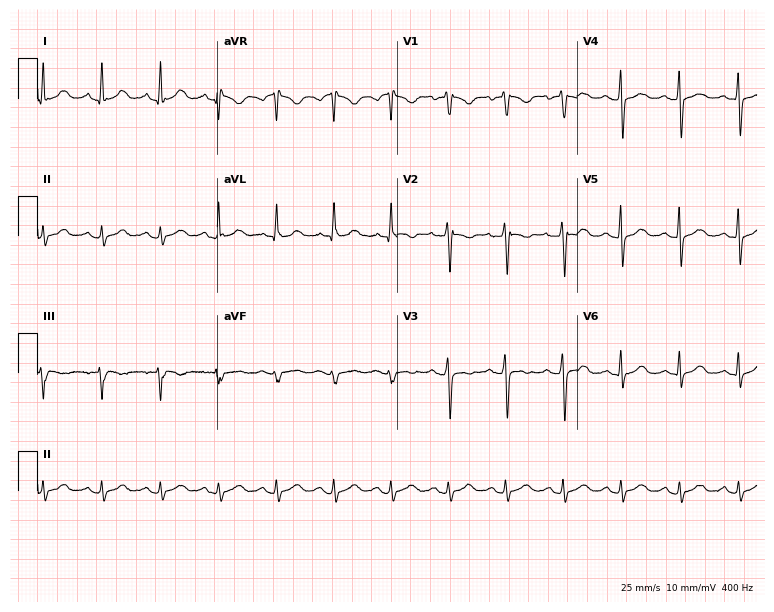
12-lead ECG (7.3-second recording at 400 Hz) from a female, 42 years old. Findings include sinus tachycardia (a sinus rate of 100 beats per minute or more).